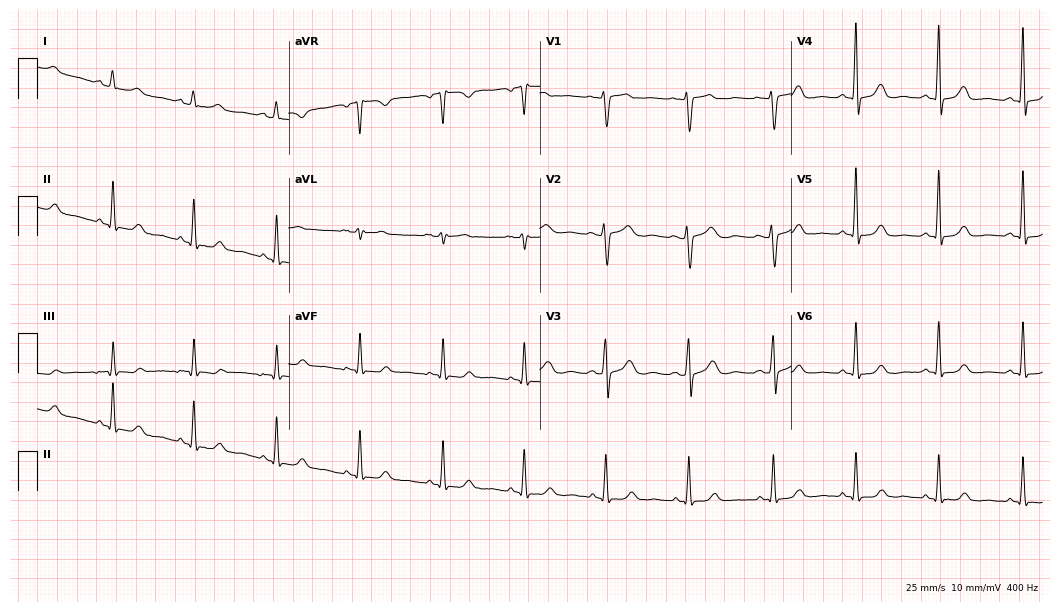
Electrocardiogram, a woman, 53 years old. Overall reading on record: normal ECG.